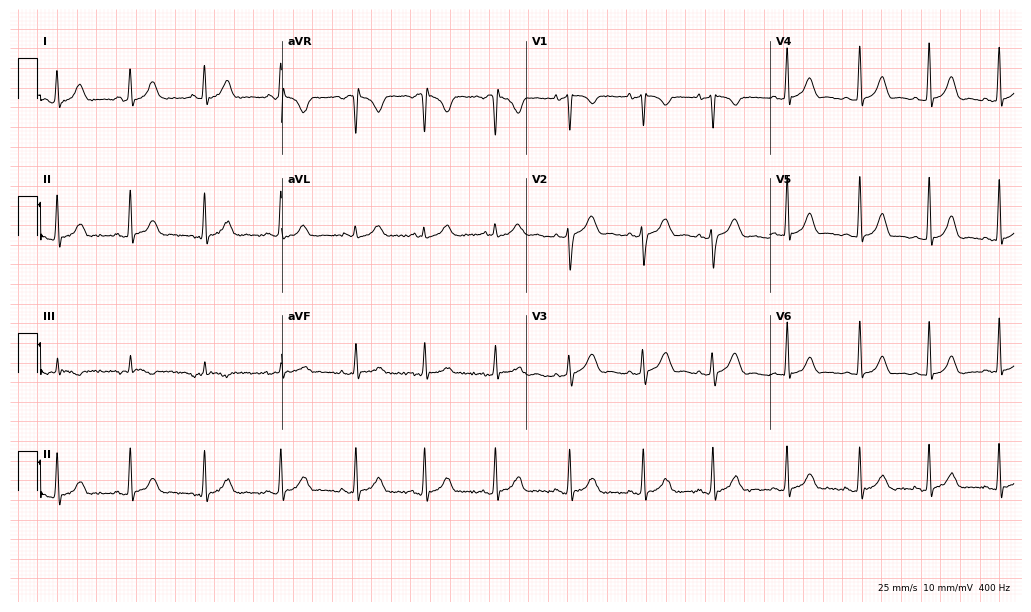
Resting 12-lead electrocardiogram. Patient: a woman, 22 years old. Read as a normal ECG.